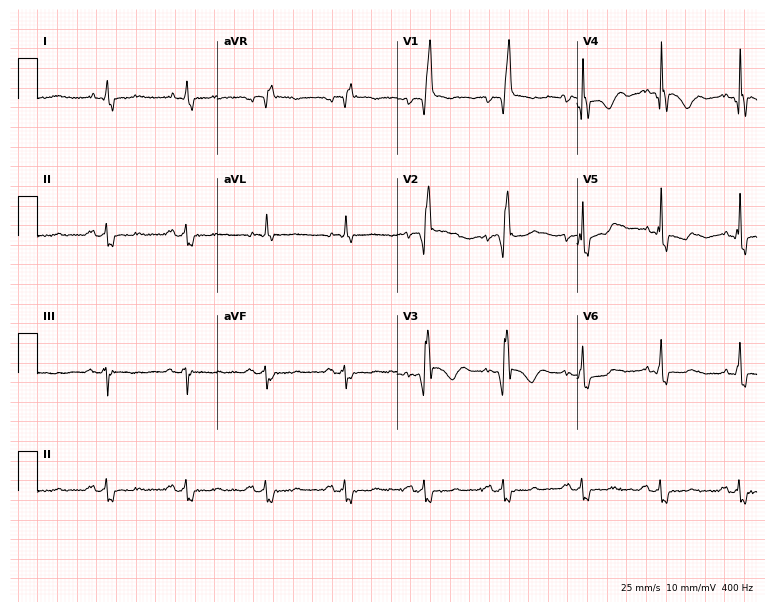
12-lead ECG (7.3-second recording at 400 Hz) from a man, 70 years old. Findings include right bundle branch block.